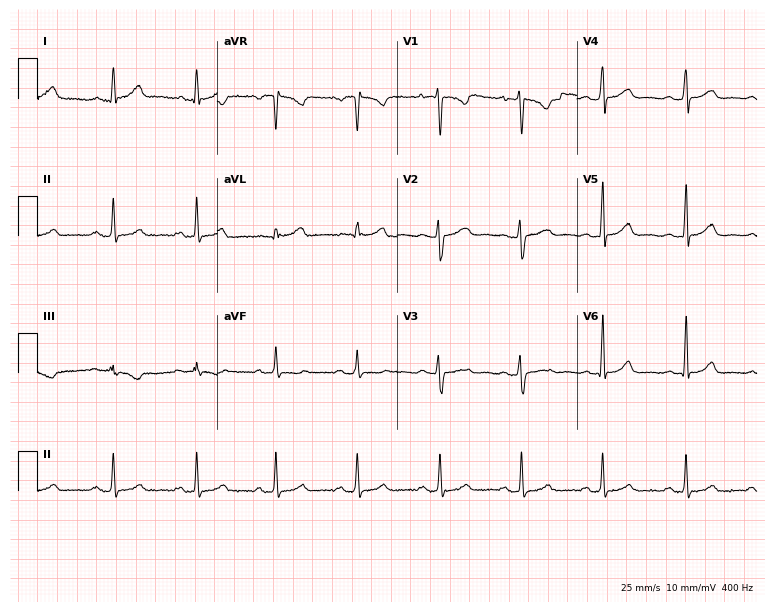
Resting 12-lead electrocardiogram. Patient: a 31-year-old female. Read as a normal ECG.